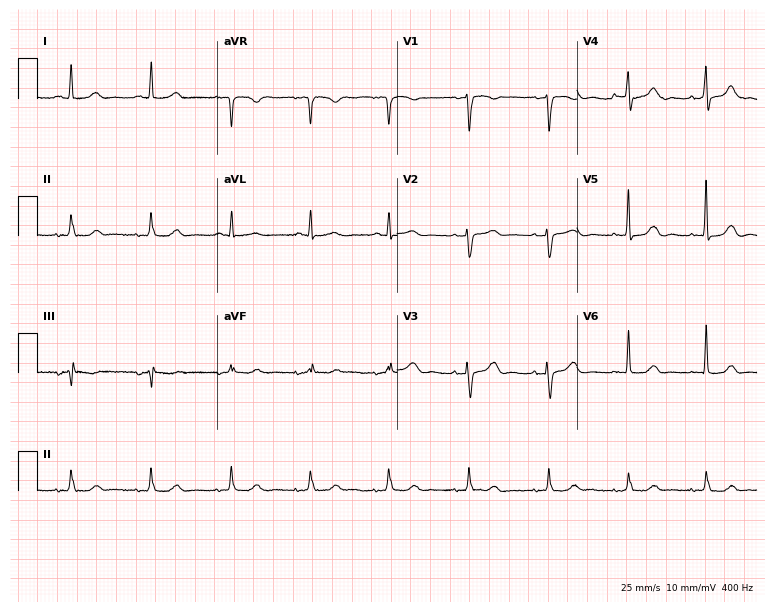
ECG — a 78-year-old female patient. Labelled as a normal ECG.